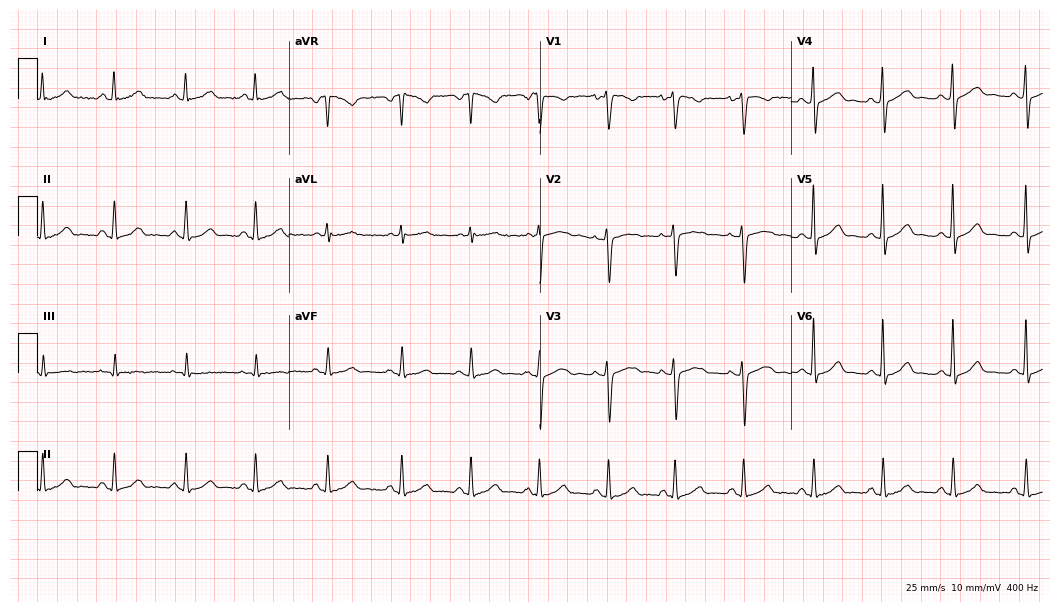
Electrocardiogram, a female patient, 22 years old. Overall reading on record: normal ECG.